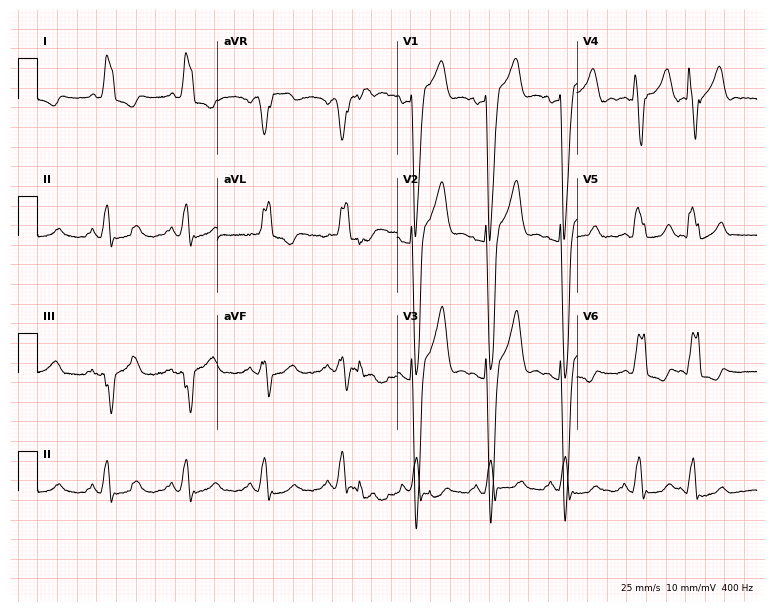
Standard 12-lead ECG recorded from a female, 75 years old (7.3-second recording at 400 Hz). The tracing shows left bundle branch block.